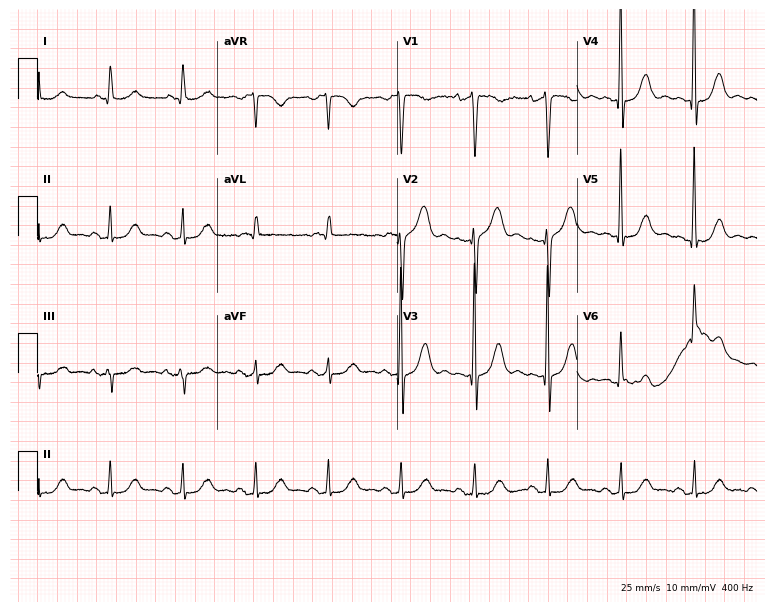
Electrocardiogram (7.3-second recording at 400 Hz), a male, 56 years old. Of the six screened findings (first-degree AV block, right bundle branch block, left bundle branch block, sinus bradycardia, atrial fibrillation, sinus tachycardia), none is recorded.